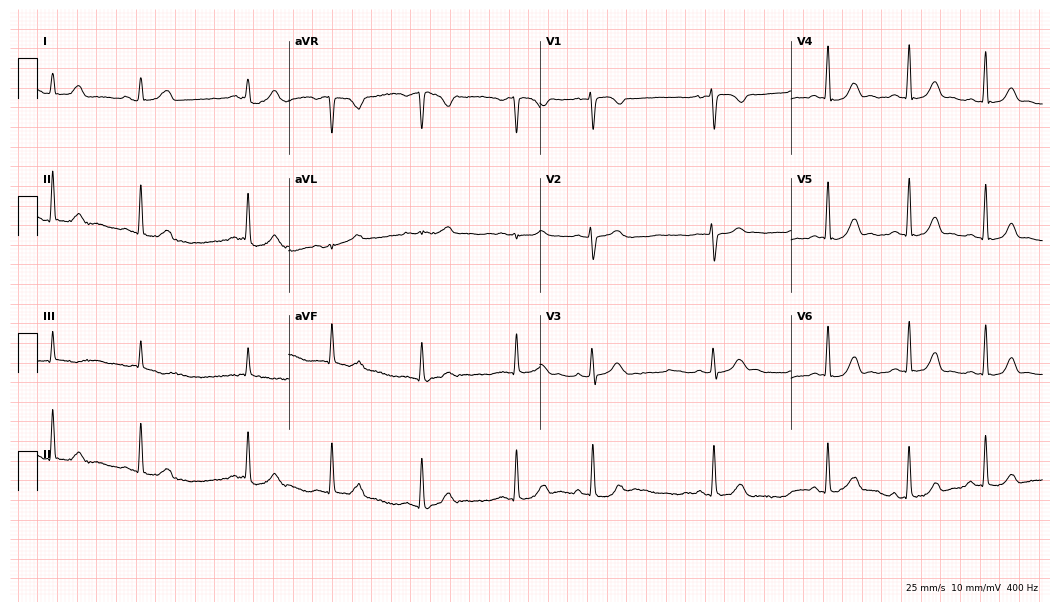
Resting 12-lead electrocardiogram. Patient: a female, 17 years old. None of these six findings is recorded: first-degree AV block, right bundle branch block, left bundle branch block, sinus bradycardia, atrial fibrillation, sinus tachycardia.